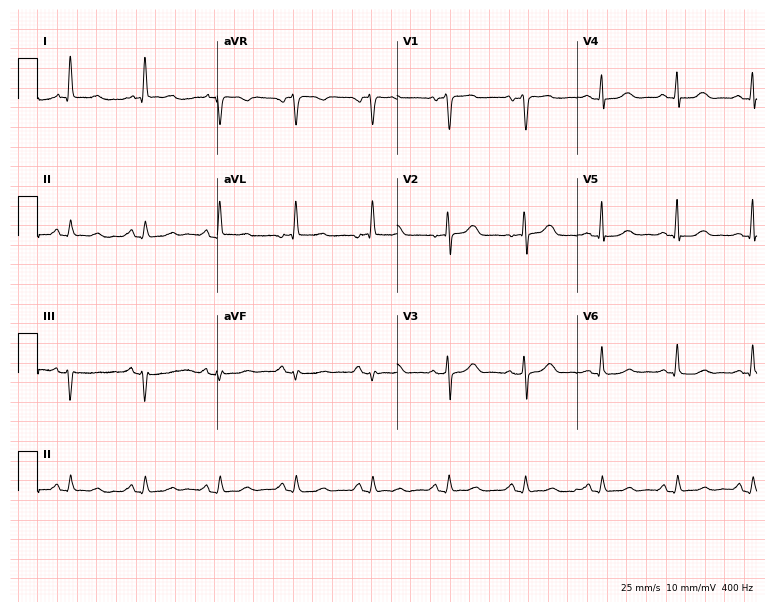
12-lead ECG from a woman, 69 years old (7.3-second recording at 400 Hz). Recorded interpretation: within normal limits.